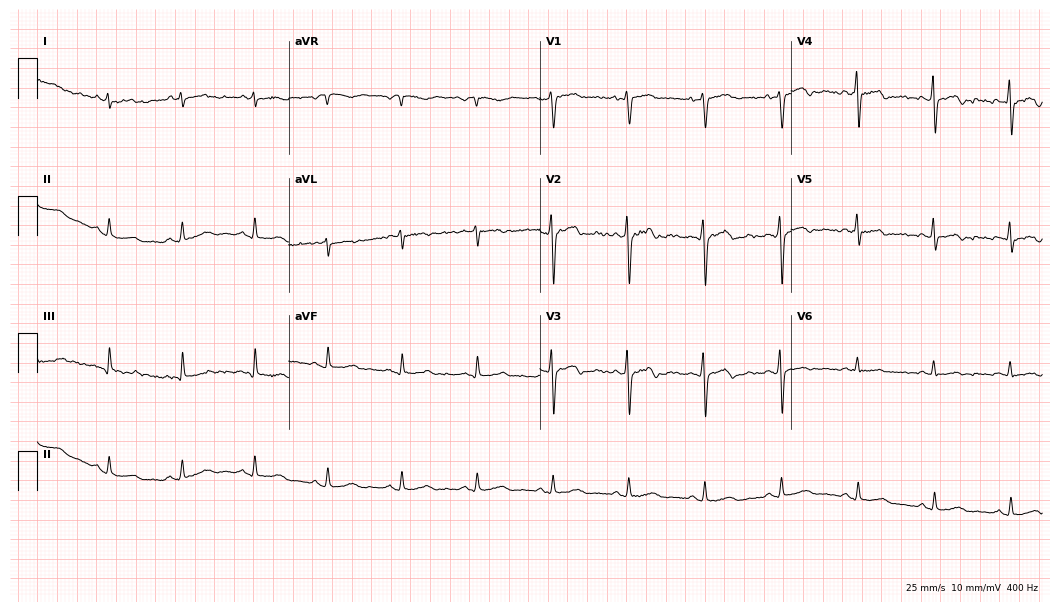
12-lead ECG (10.2-second recording at 400 Hz) from a female patient, 50 years old. Screened for six findings — first-degree AV block, right bundle branch block (RBBB), left bundle branch block (LBBB), sinus bradycardia, atrial fibrillation (AF), sinus tachycardia — none is recorded. Only these six findings were labelled.